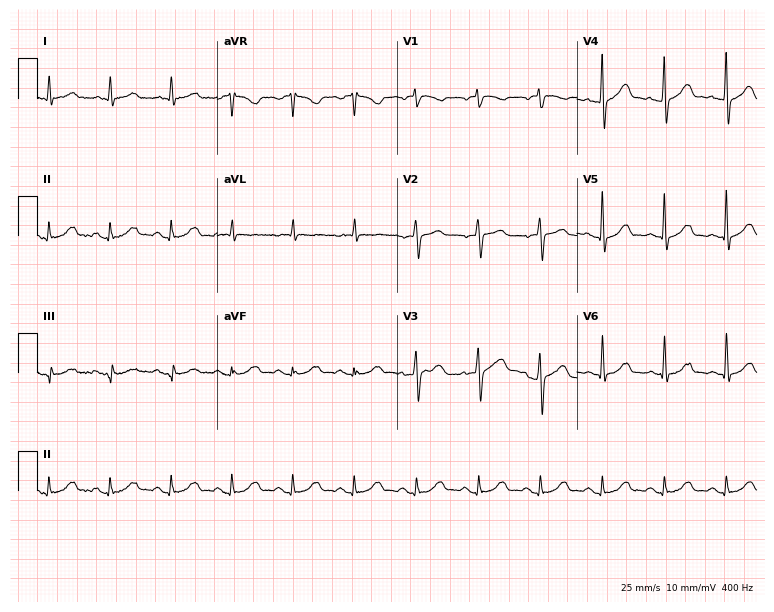
12-lead ECG from a male, 74 years old. Screened for six findings — first-degree AV block, right bundle branch block, left bundle branch block, sinus bradycardia, atrial fibrillation, sinus tachycardia — none is recorded. Other findings, if any, are not listed.